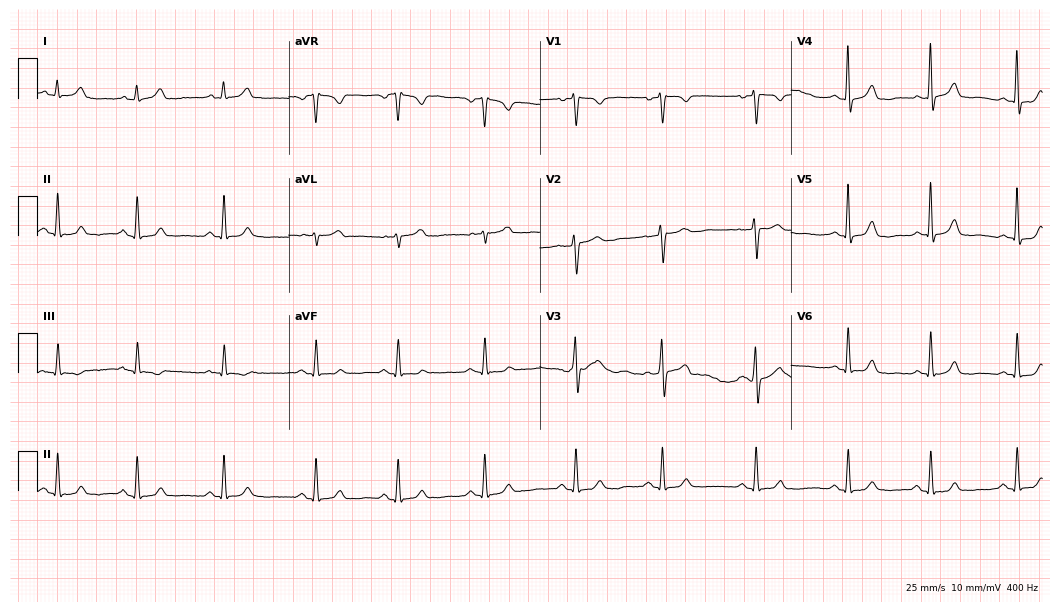
ECG — a 25-year-old female. Labelled as a normal ECG.